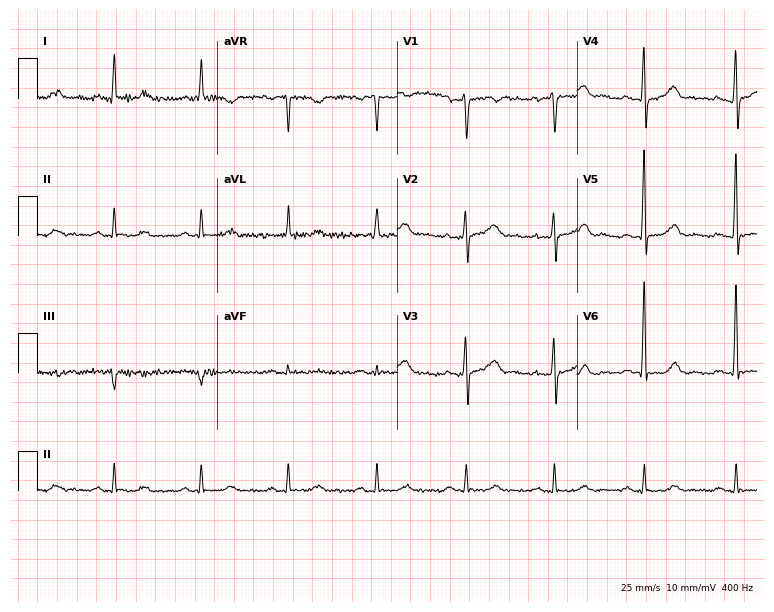
12-lead ECG from a man, 65 years old. Recorded interpretation: within normal limits.